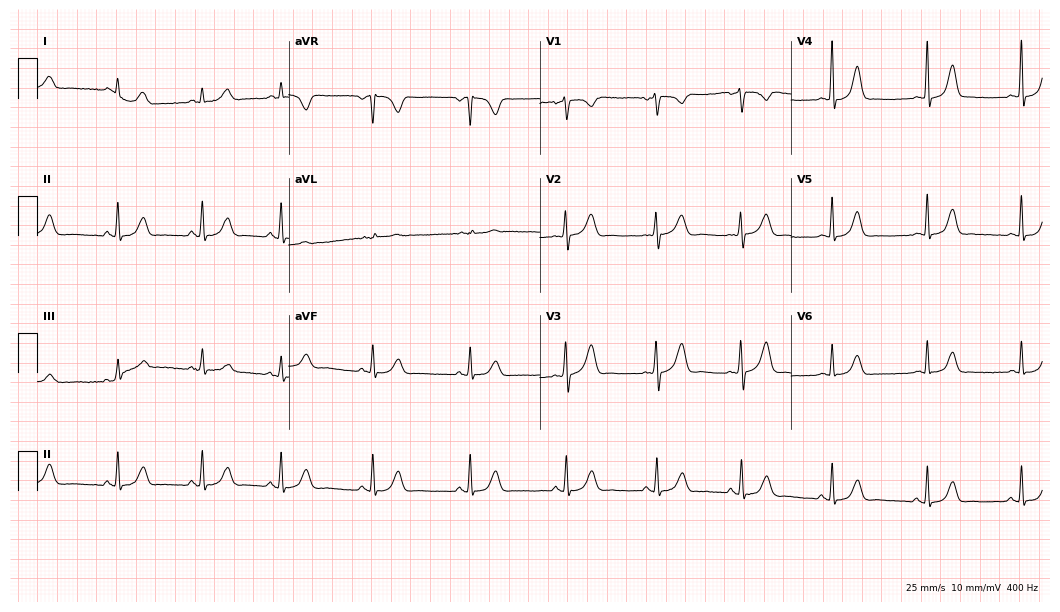
Standard 12-lead ECG recorded from a woman, 40 years old. None of these six findings is recorded: first-degree AV block, right bundle branch block, left bundle branch block, sinus bradycardia, atrial fibrillation, sinus tachycardia.